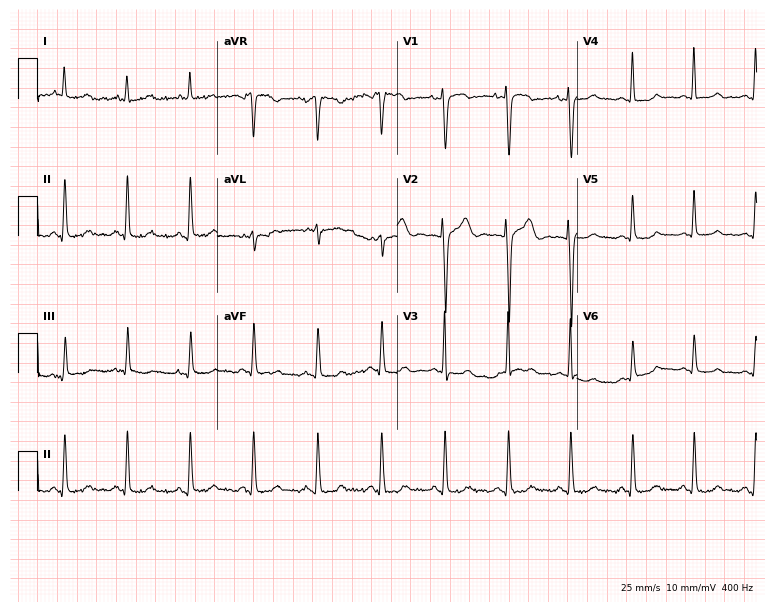
Standard 12-lead ECG recorded from a 28-year-old female. None of these six findings is recorded: first-degree AV block, right bundle branch block, left bundle branch block, sinus bradycardia, atrial fibrillation, sinus tachycardia.